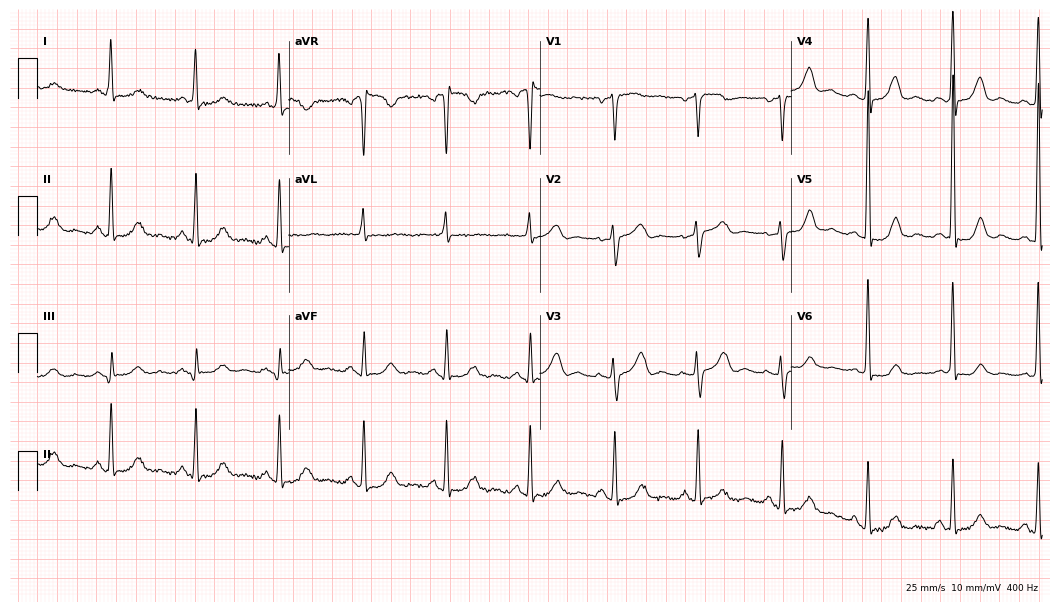
12-lead ECG from a 60-year-old male patient. Screened for six findings — first-degree AV block, right bundle branch block, left bundle branch block, sinus bradycardia, atrial fibrillation, sinus tachycardia — none is recorded. Other findings, if any, are not listed.